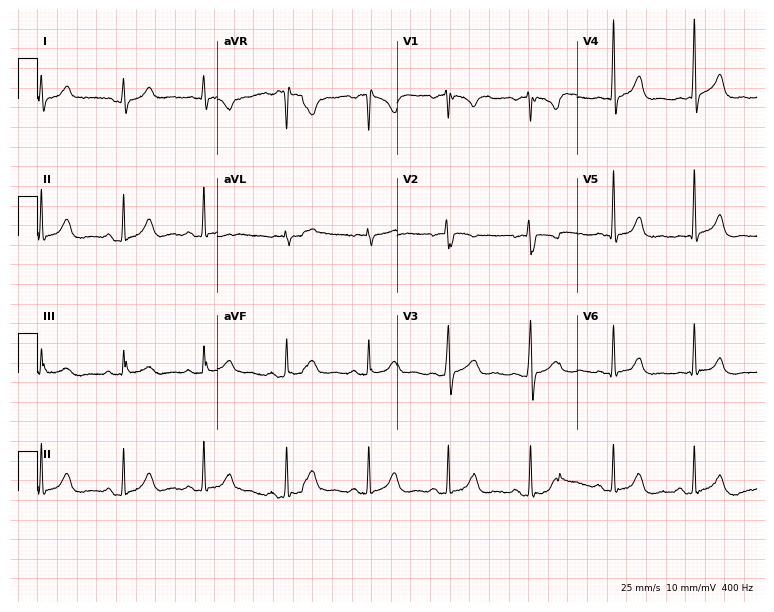
12-lead ECG from a 51-year-old male patient (7.3-second recording at 400 Hz). Recorded interpretation: within normal limits.